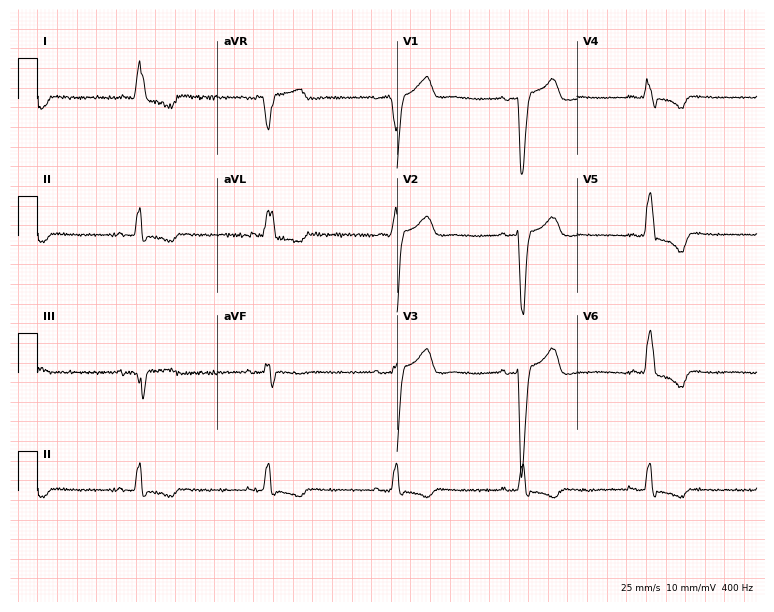
Electrocardiogram (7.3-second recording at 400 Hz), a woman, 79 years old. Of the six screened findings (first-degree AV block, right bundle branch block, left bundle branch block, sinus bradycardia, atrial fibrillation, sinus tachycardia), none is recorded.